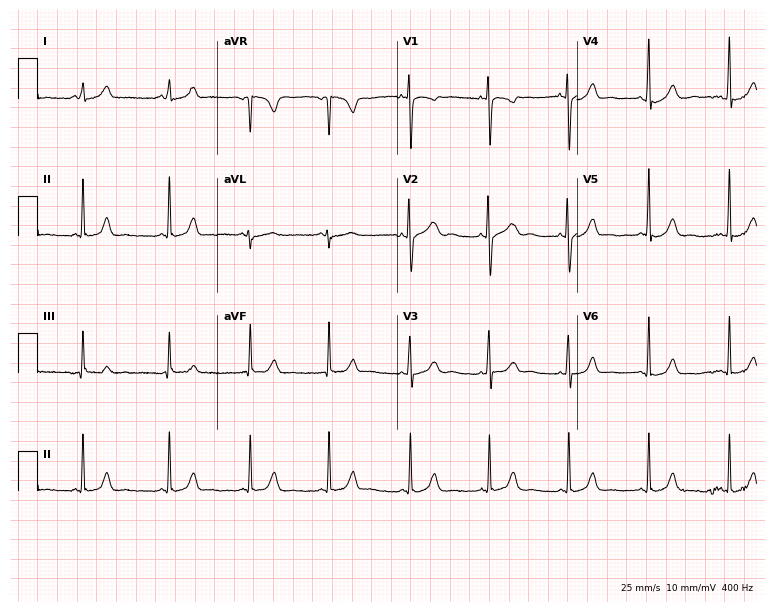
12-lead ECG from a woman, 17 years old. Recorded interpretation: within normal limits.